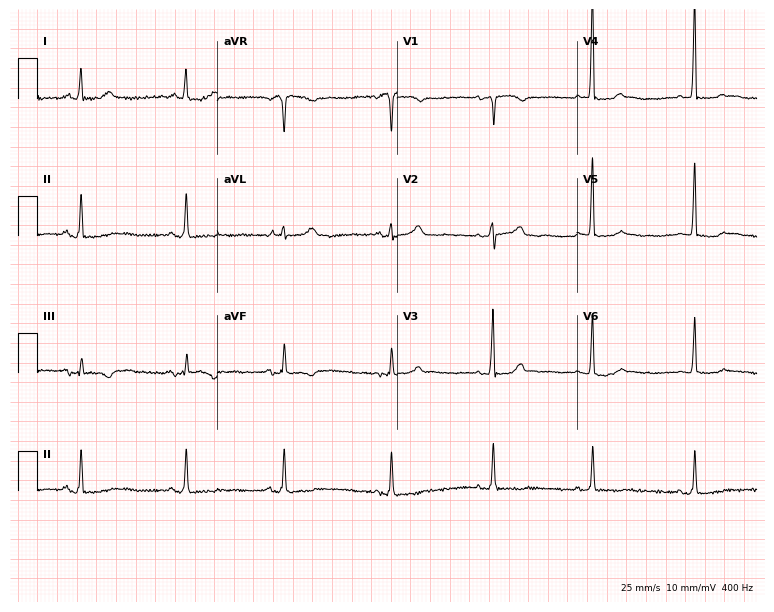
Resting 12-lead electrocardiogram. Patient: a 66-year-old female. None of these six findings is recorded: first-degree AV block, right bundle branch block (RBBB), left bundle branch block (LBBB), sinus bradycardia, atrial fibrillation (AF), sinus tachycardia. Only these six findings were labelled.